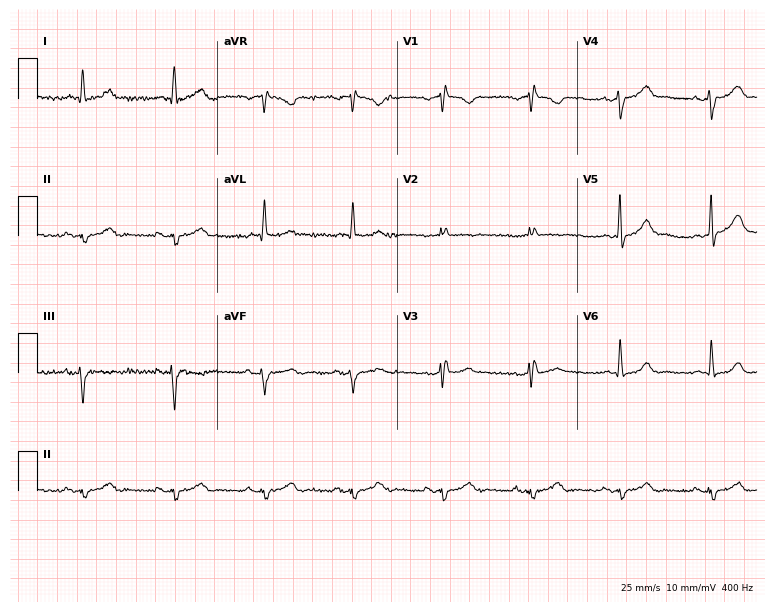
Standard 12-lead ECG recorded from a 72-year-old male patient. None of these six findings is recorded: first-degree AV block, right bundle branch block, left bundle branch block, sinus bradycardia, atrial fibrillation, sinus tachycardia. Findings outside these six are not listed.